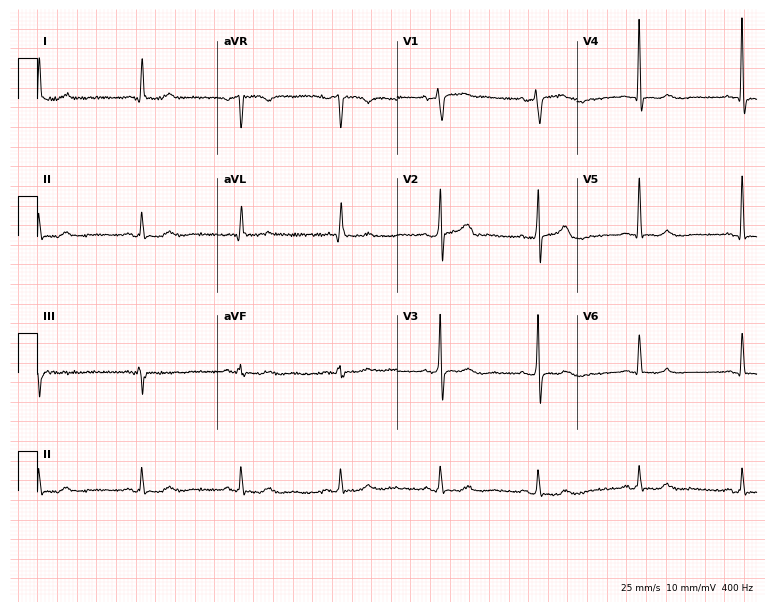
12-lead ECG from a 64-year-old male patient. Labelled as a normal ECG.